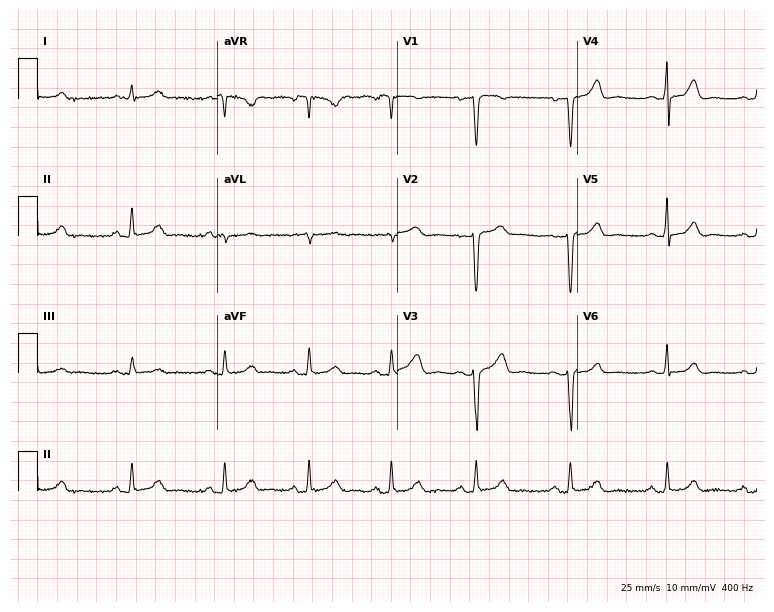
12-lead ECG from a 46-year-old woman. Screened for six findings — first-degree AV block, right bundle branch block, left bundle branch block, sinus bradycardia, atrial fibrillation, sinus tachycardia — none is recorded. Other findings, if any, are not listed.